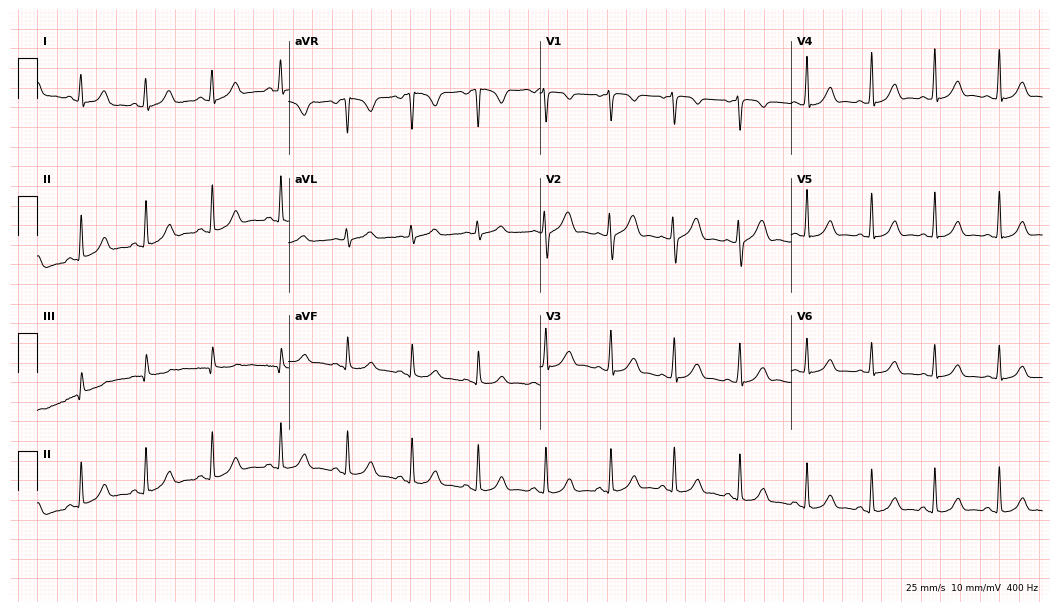
Standard 12-lead ECG recorded from a 26-year-old female patient (10.2-second recording at 400 Hz). None of these six findings is recorded: first-degree AV block, right bundle branch block (RBBB), left bundle branch block (LBBB), sinus bradycardia, atrial fibrillation (AF), sinus tachycardia.